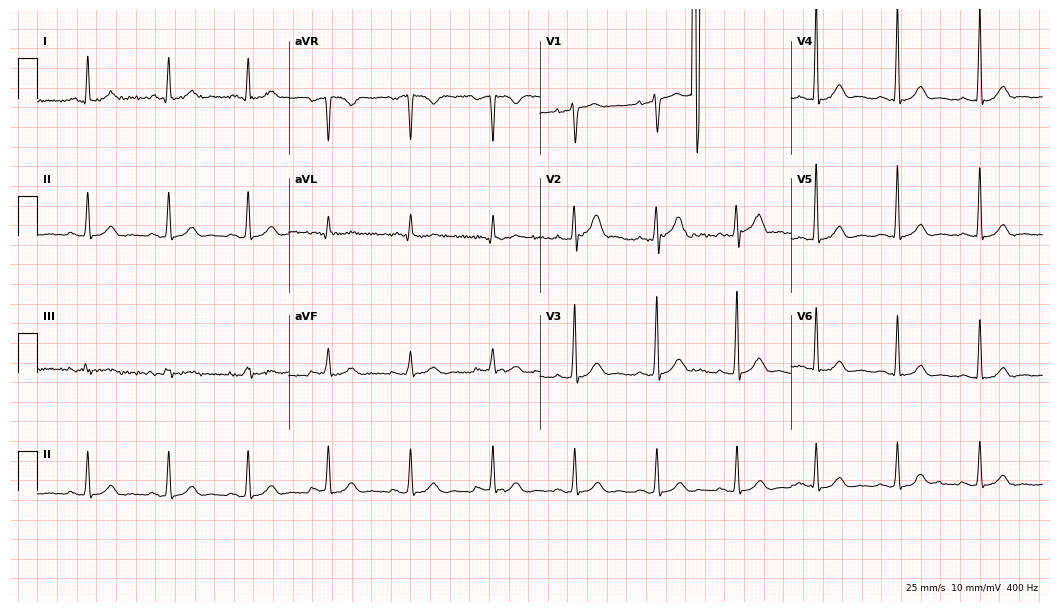
12-lead ECG from a 48-year-old male (10.2-second recording at 400 Hz). No first-degree AV block, right bundle branch block (RBBB), left bundle branch block (LBBB), sinus bradycardia, atrial fibrillation (AF) or sinus tachycardia recorded for this tracing.